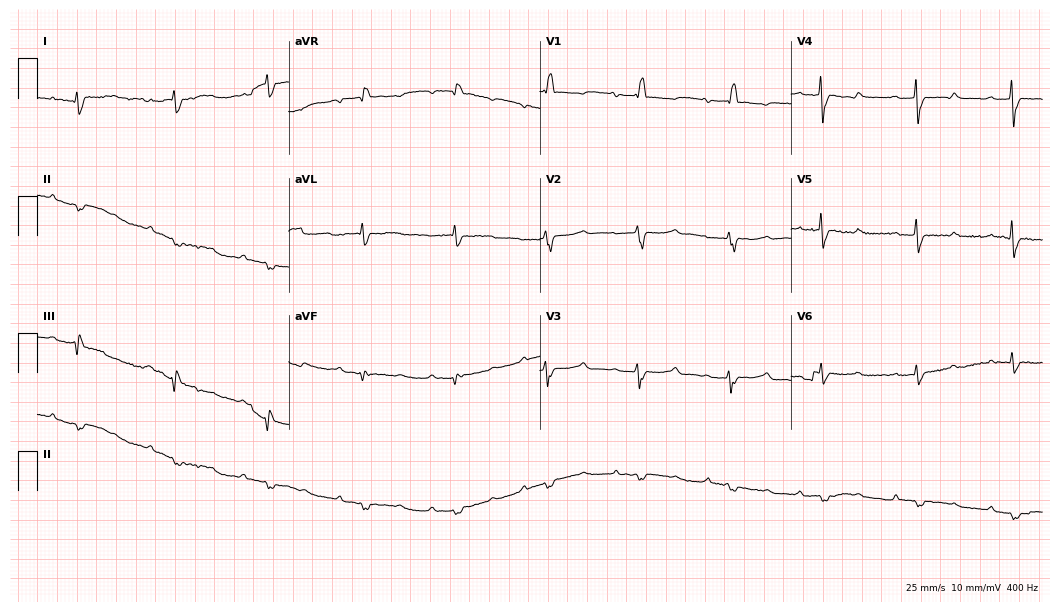
Standard 12-lead ECG recorded from a woman, 44 years old. The tracing shows first-degree AV block, right bundle branch block.